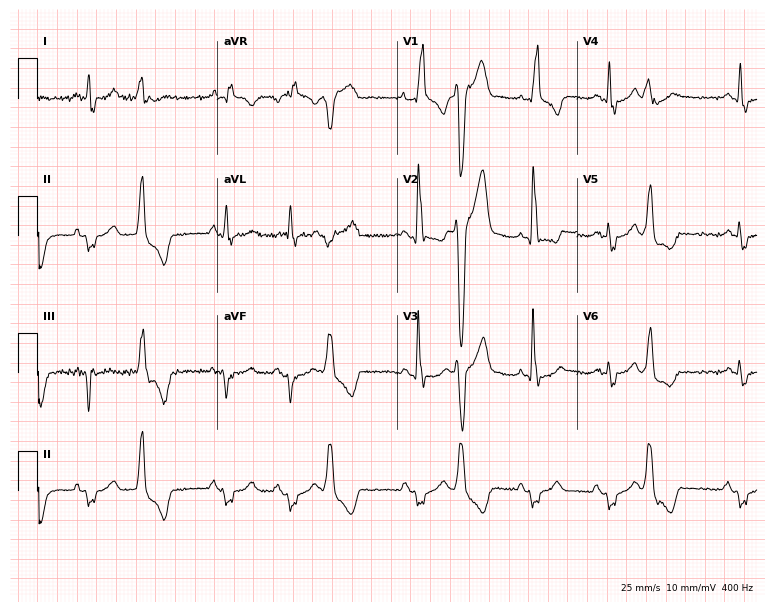
Electrocardiogram (7.3-second recording at 400 Hz), an 81-year-old man. Interpretation includes right bundle branch block (RBBB).